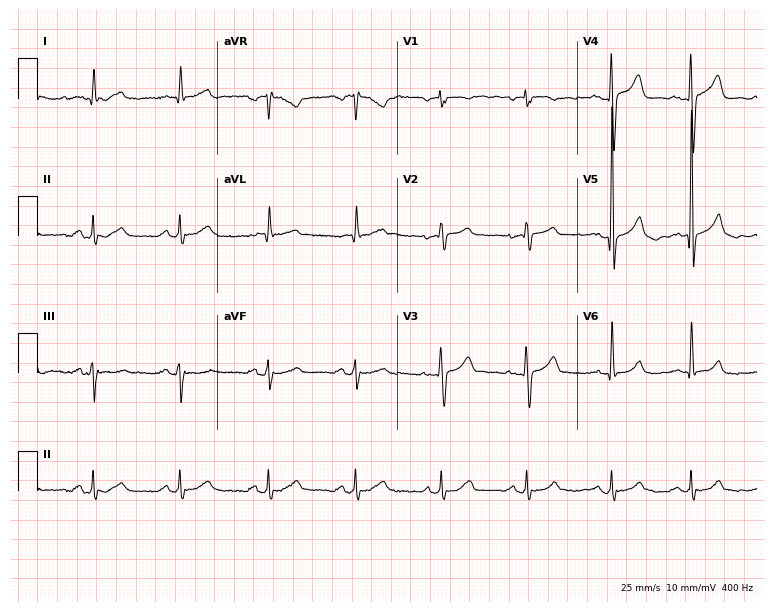
12-lead ECG from a male patient, 76 years old. Labelled as a normal ECG.